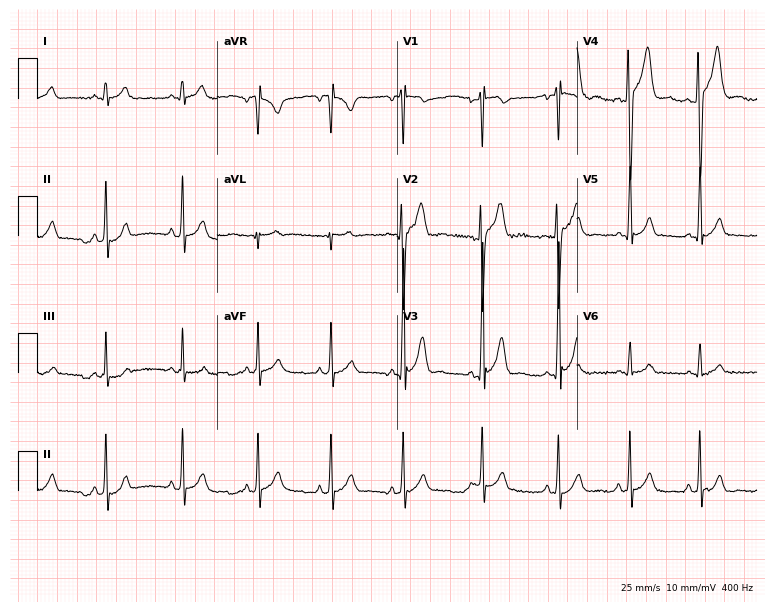
Electrocardiogram, a male, 18 years old. Overall reading on record: normal ECG.